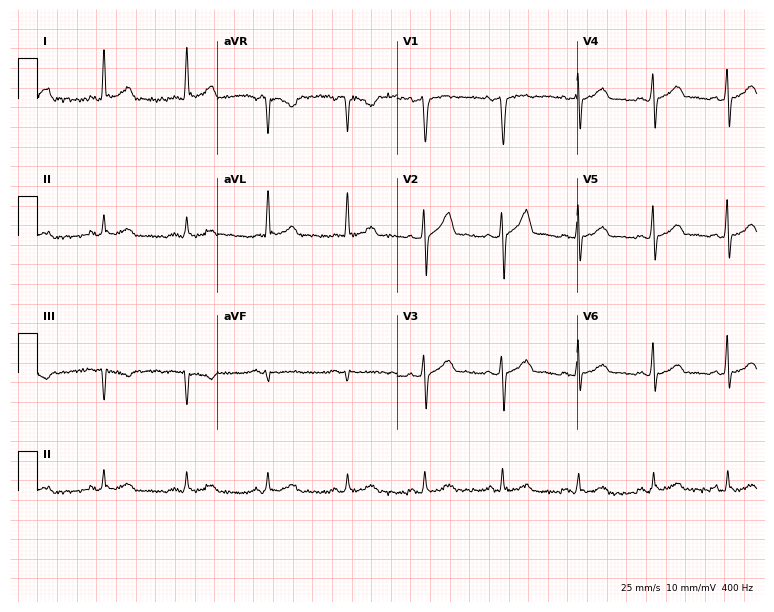
12-lead ECG (7.3-second recording at 400 Hz) from a man, 38 years old. Labelled as a normal ECG.